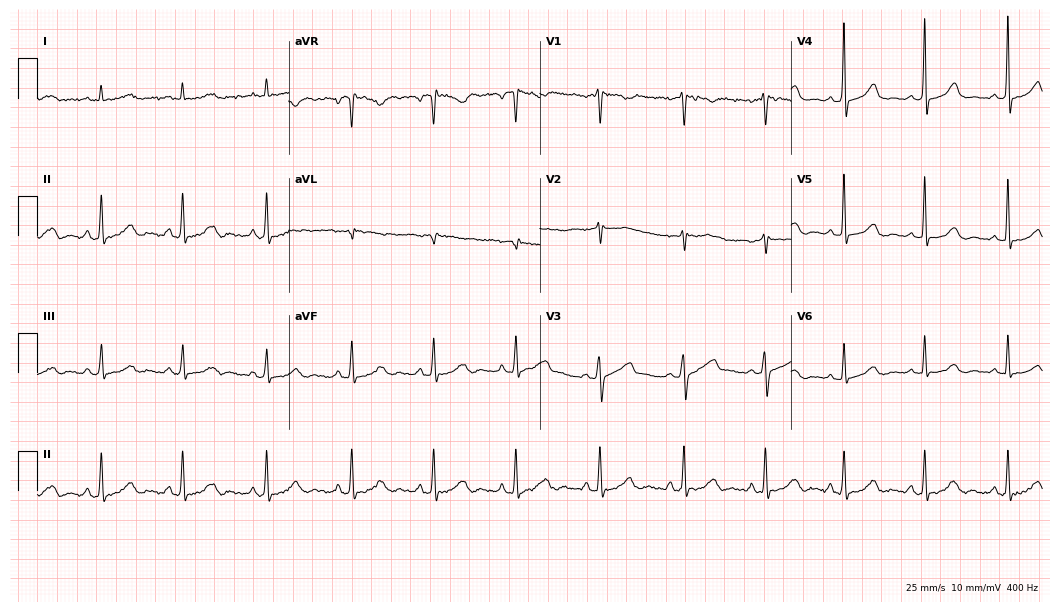
Resting 12-lead electrocardiogram (10.2-second recording at 400 Hz). Patient: a 52-year-old woman. Read as a normal ECG.